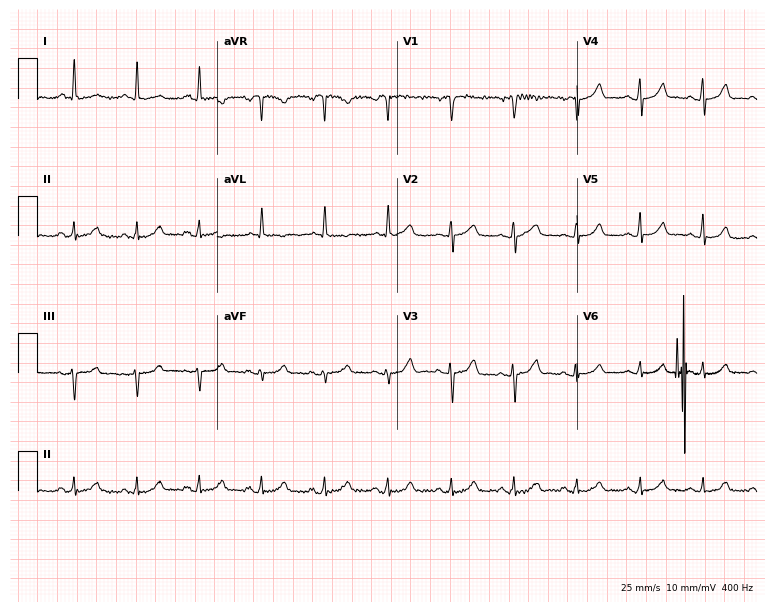
12-lead ECG from a 59-year-old female patient (7.3-second recording at 400 Hz). Recorded interpretation: within normal limits.